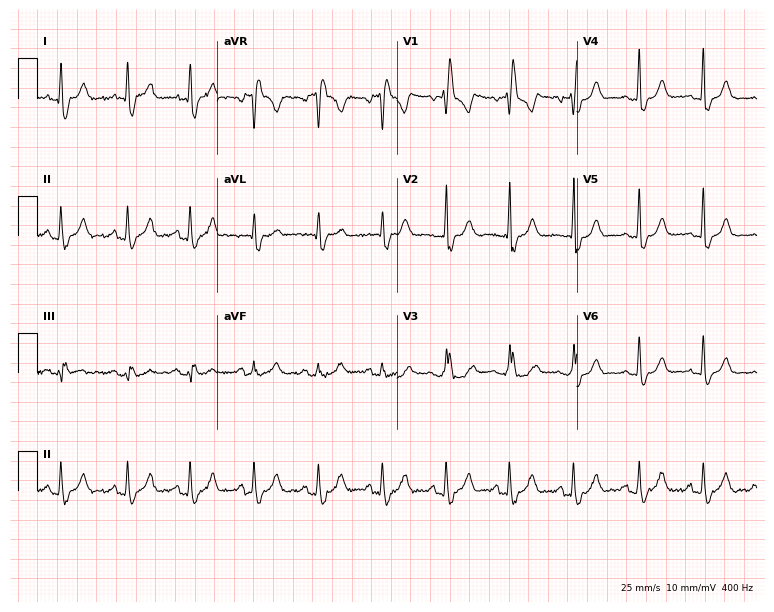
Standard 12-lead ECG recorded from a male patient, 51 years old (7.3-second recording at 400 Hz). The tracing shows right bundle branch block.